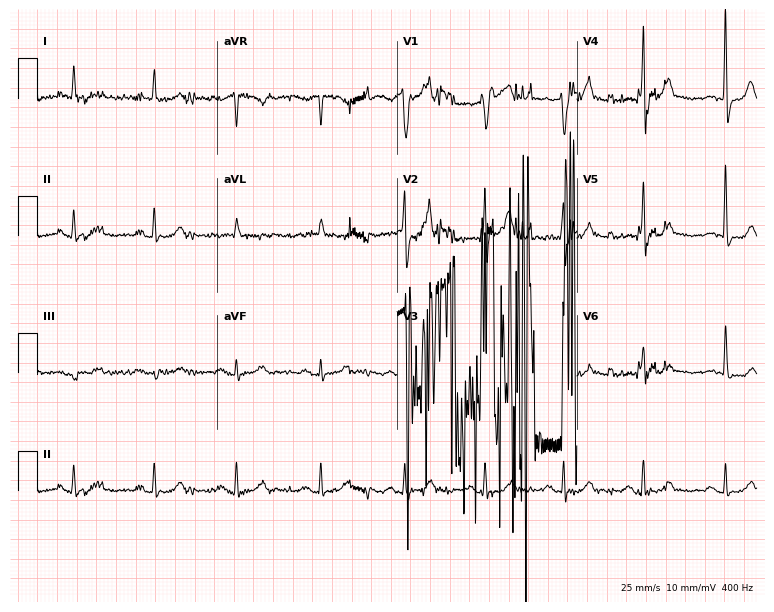
Resting 12-lead electrocardiogram. Patient: a 69-year-old man. None of these six findings is recorded: first-degree AV block, right bundle branch block (RBBB), left bundle branch block (LBBB), sinus bradycardia, atrial fibrillation (AF), sinus tachycardia.